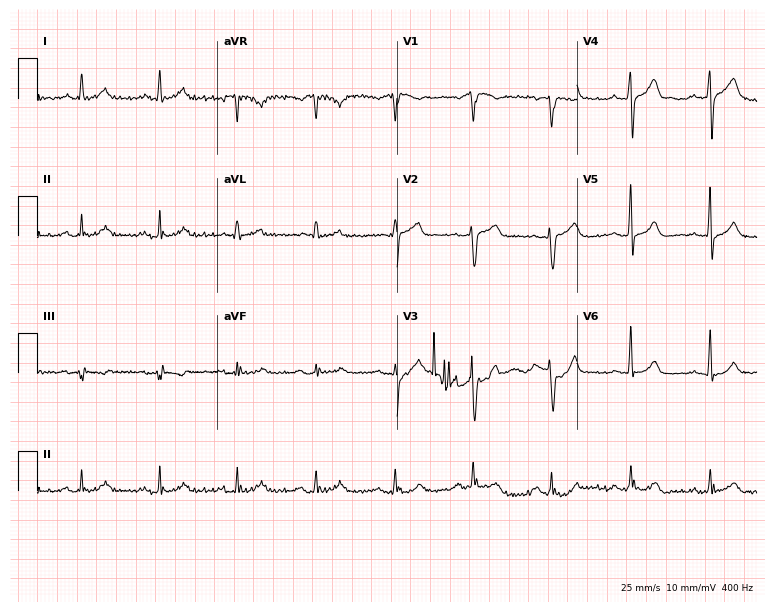
Standard 12-lead ECG recorded from a male, 66 years old. Read as a normal ECG.